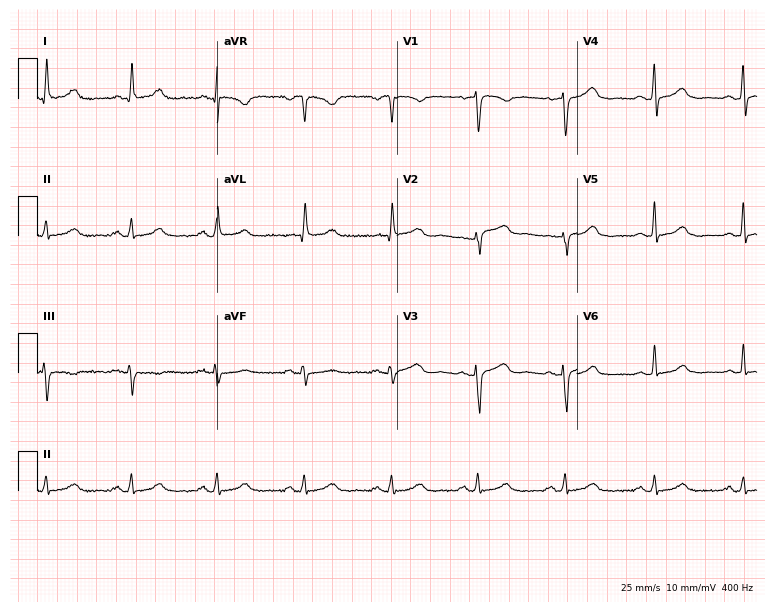
Electrocardiogram, a 58-year-old female patient. Overall reading on record: normal ECG.